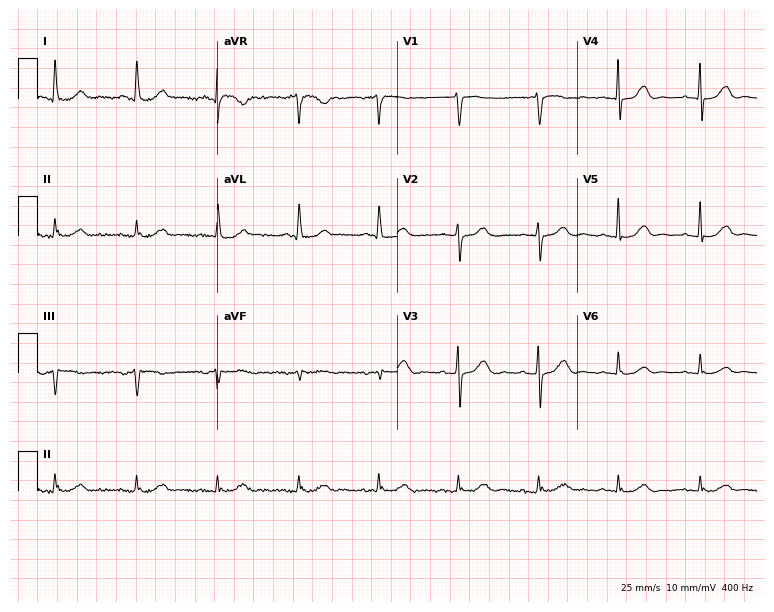
12-lead ECG from a female patient, 83 years old (7.3-second recording at 400 Hz). Recorded interpretation: within normal limits.